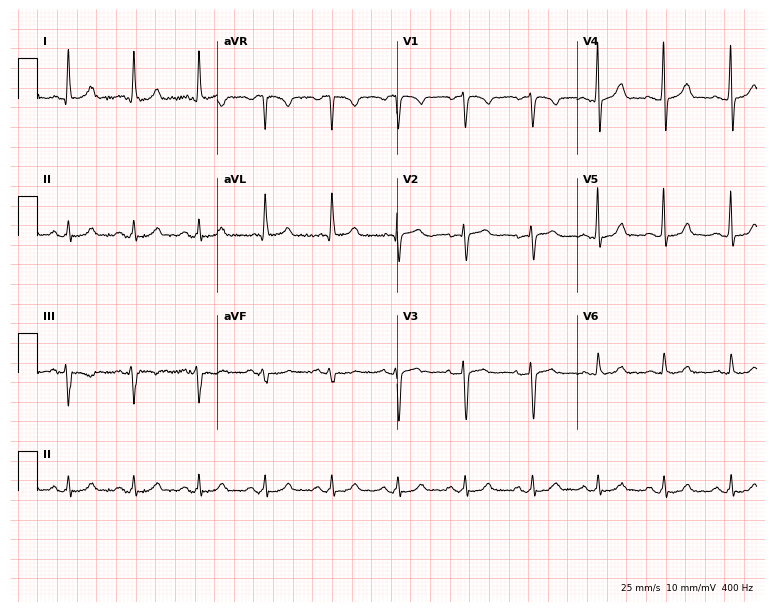
12-lead ECG from a woman, 50 years old. Labelled as a normal ECG.